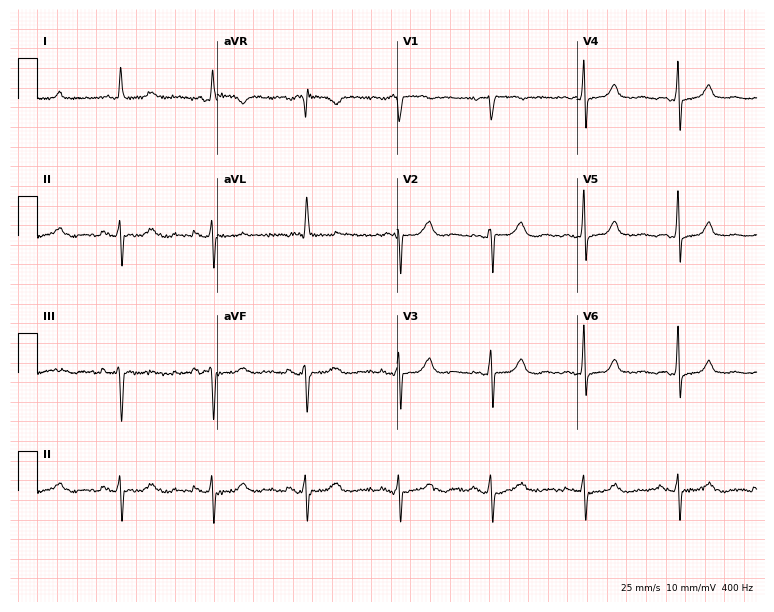
Standard 12-lead ECG recorded from a 74-year-old woman. None of these six findings is recorded: first-degree AV block, right bundle branch block (RBBB), left bundle branch block (LBBB), sinus bradycardia, atrial fibrillation (AF), sinus tachycardia.